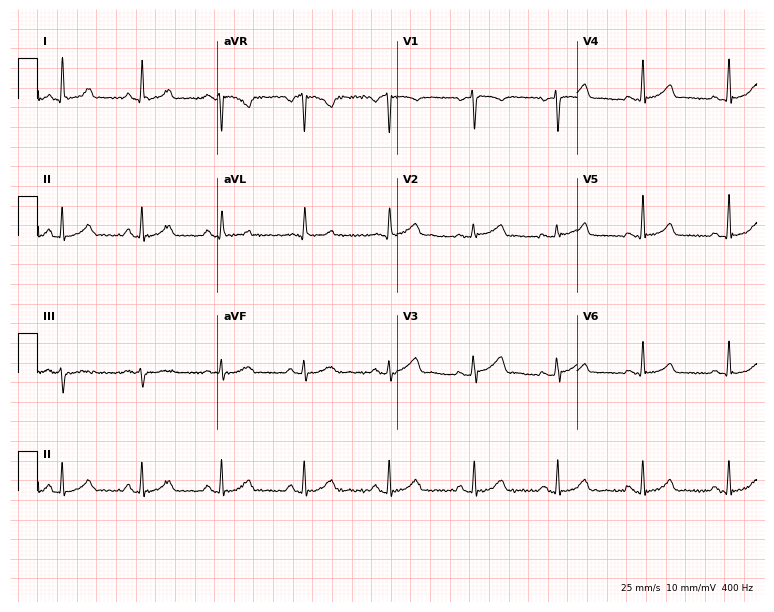
12-lead ECG from a woman, 42 years old. Recorded interpretation: within normal limits.